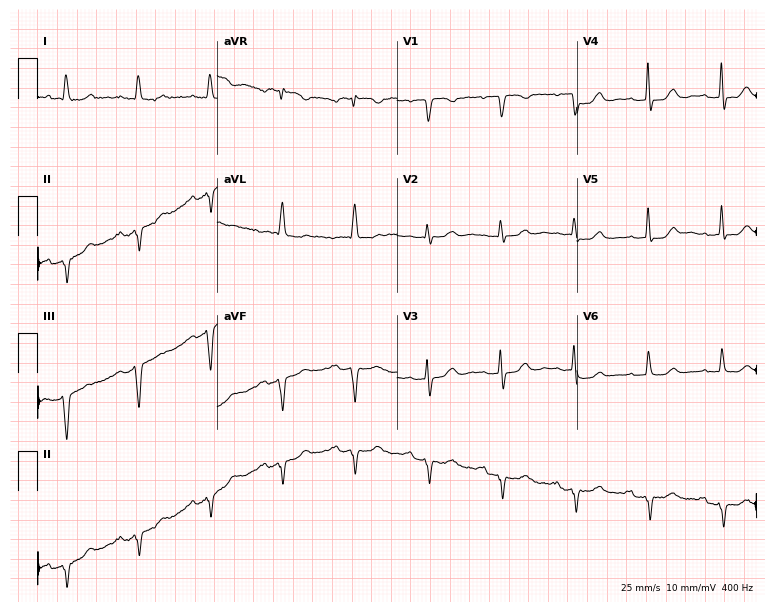
Resting 12-lead electrocardiogram (7.3-second recording at 400 Hz). Patient: a female, 70 years old. None of these six findings is recorded: first-degree AV block, right bundle branch block, left bundle branch block, sinus bradycardia, atrial fibrillation, sinus tachycardia.